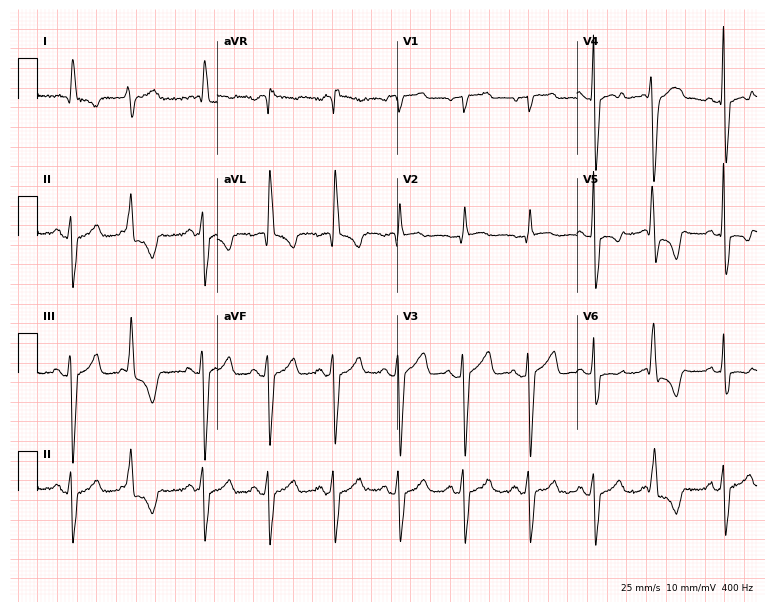
Resting 12-lead electrocardiogram (7.3-second recording at 400 Hz). Patient: an 80-year-old female. None of these six findings is recorded: first-degree AV block, right bundle branch block, left bundle branch block, sinus bradycardia, atrial fibrillation, sinus tachycardia.